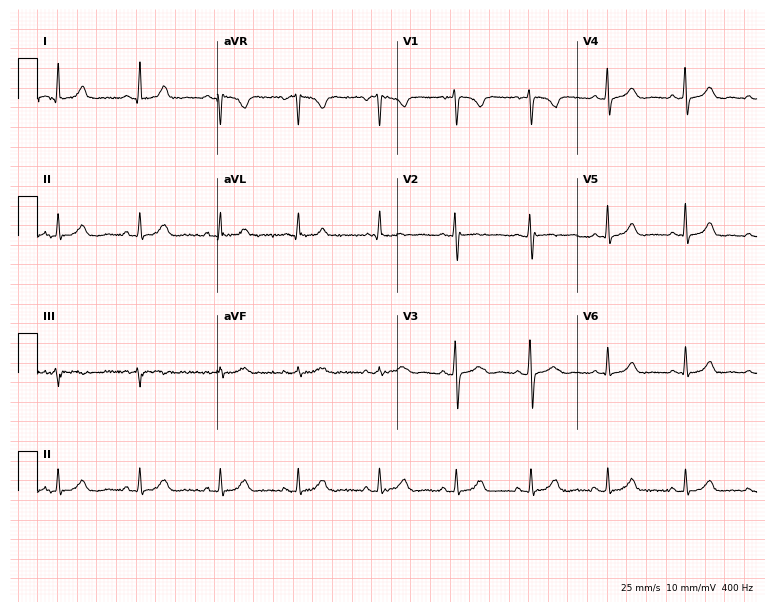
Resting 12-lead electrocardiogram (7.3-second recording at 400 Hz). Patient: a 33-year-old woman. Read as a normal ECG.